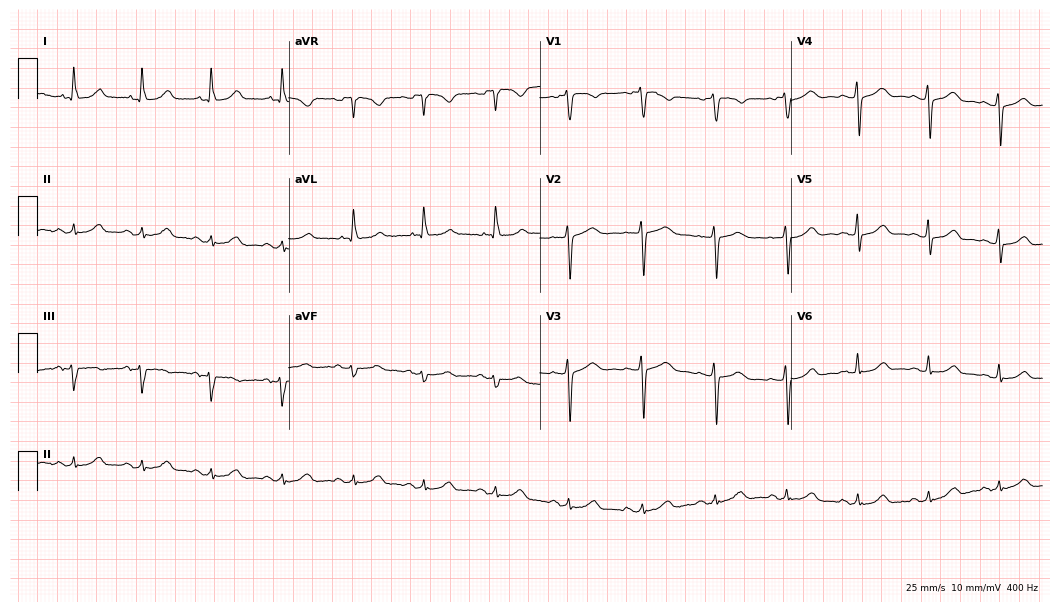
12-lead ECG from a 69-year-old woman (10.2-second recording at 400 Hz). Recorded interpretation: within normal limits.